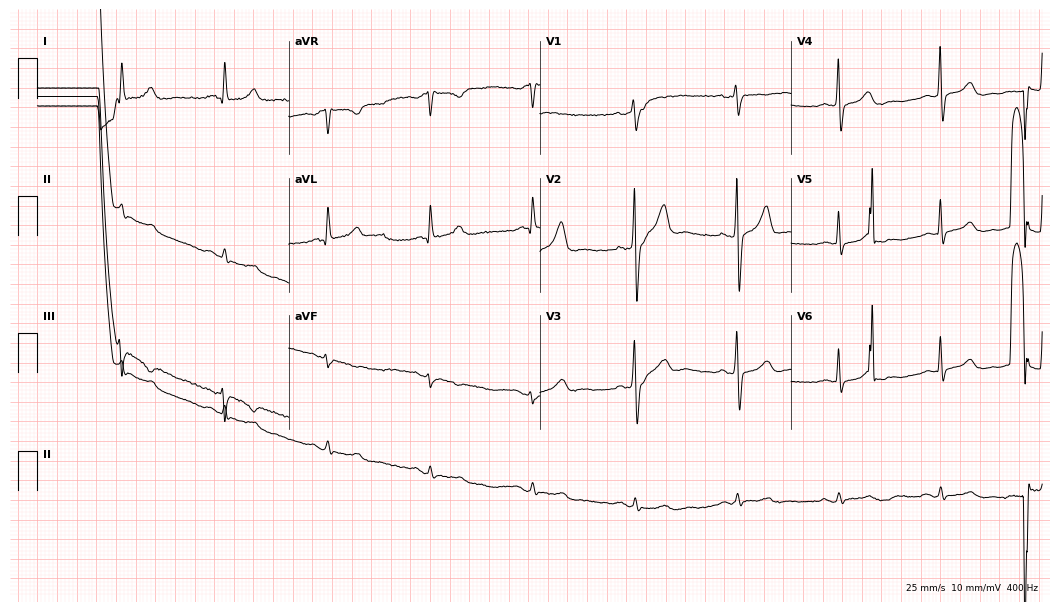
Electrocardiogram, a 69-year-old man. Of the six screened findings (first-degree AV block, right bundle branch block (RBBB), left bundle branch block (LBBB), sinus bradycardia, atrial fibrillation (AF), sinus tachycardia), none is recorded. Only these six findings were labelled.